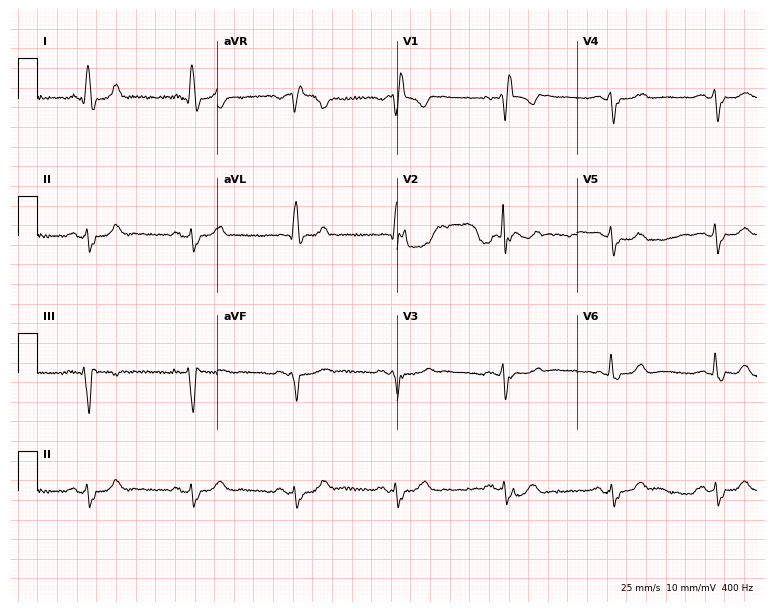
Resting 12-lead electrocardiogram (7.3-second recording at 400 Hz). Patient: a woman, 63 years old. The tracing shows right bundle branch block.